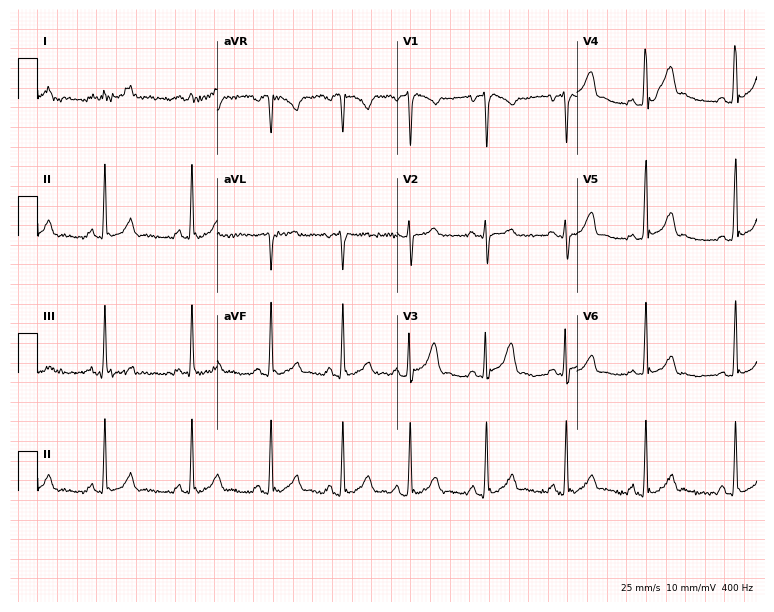
Standard 12-lead ECG recorded from a 21-year-old male patient (7.3-second recording at 400 Hz). Read as a normal ECG.